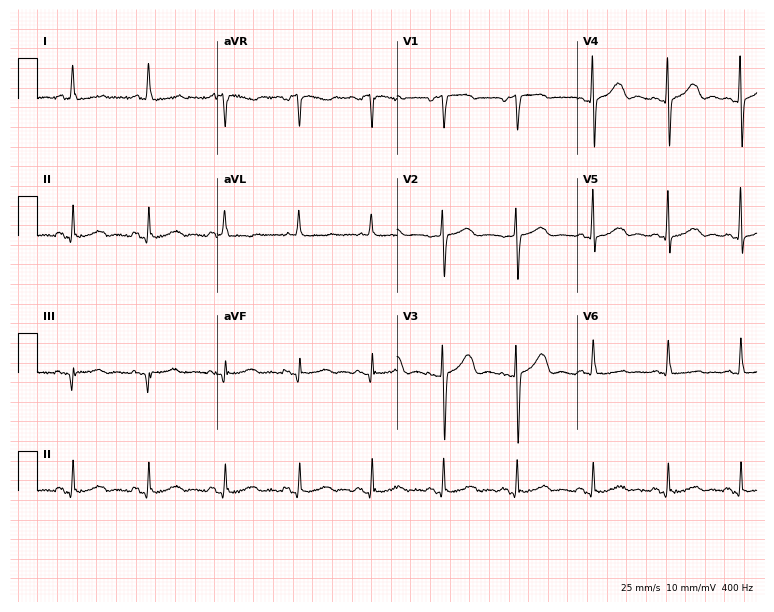
Resting 12-lead electrocardiogram (7.3-second recording at 400 Hz). Patient: a female, 58 years old. Read as a normal ECG.